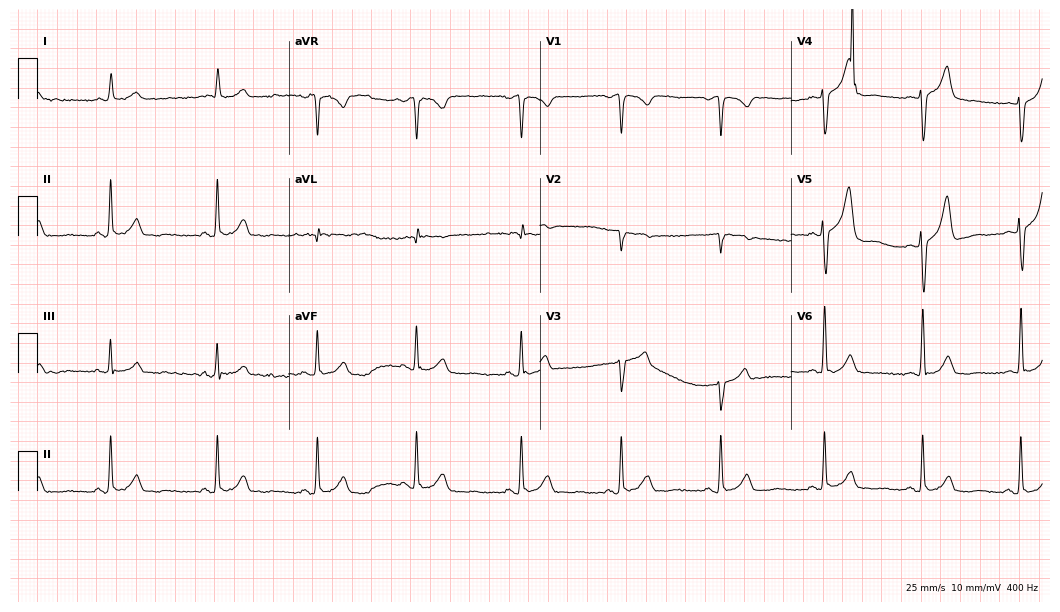
12-lead ECG (10.2-second recording at 400 Hz) from a male, 63 years old. Labelled as a normal ECG.